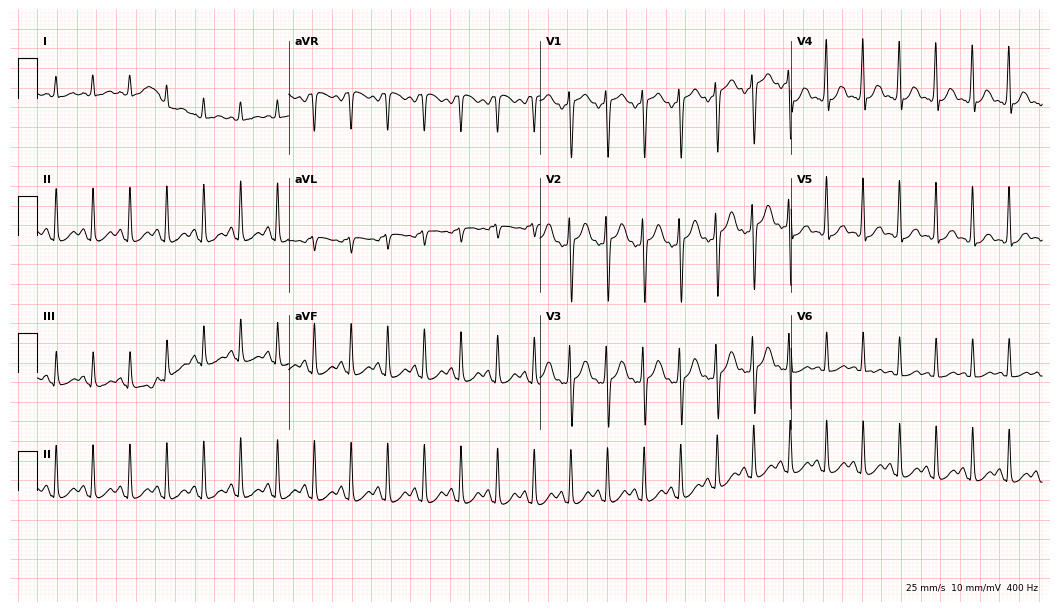
Electrocardiogram, a male, 36 years old. Interpretation includes sinus tachycardia (a sinus rate of 100 beats per minute or more).